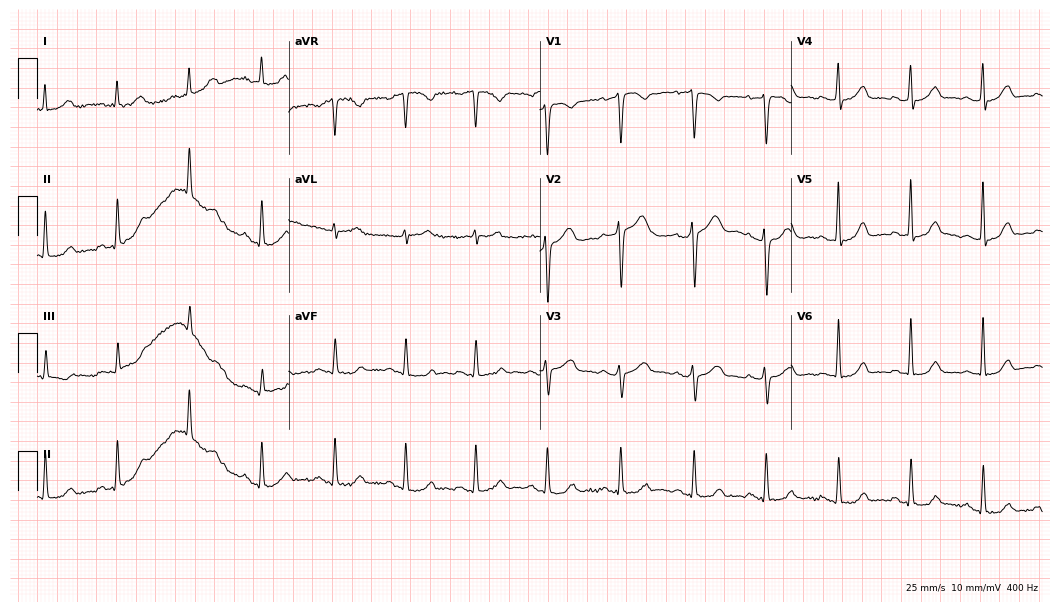
12-lead ECG from a 44-year-old female patient (10.2-second recording at 400 Hz). Recorded interpretation: within normal limits.